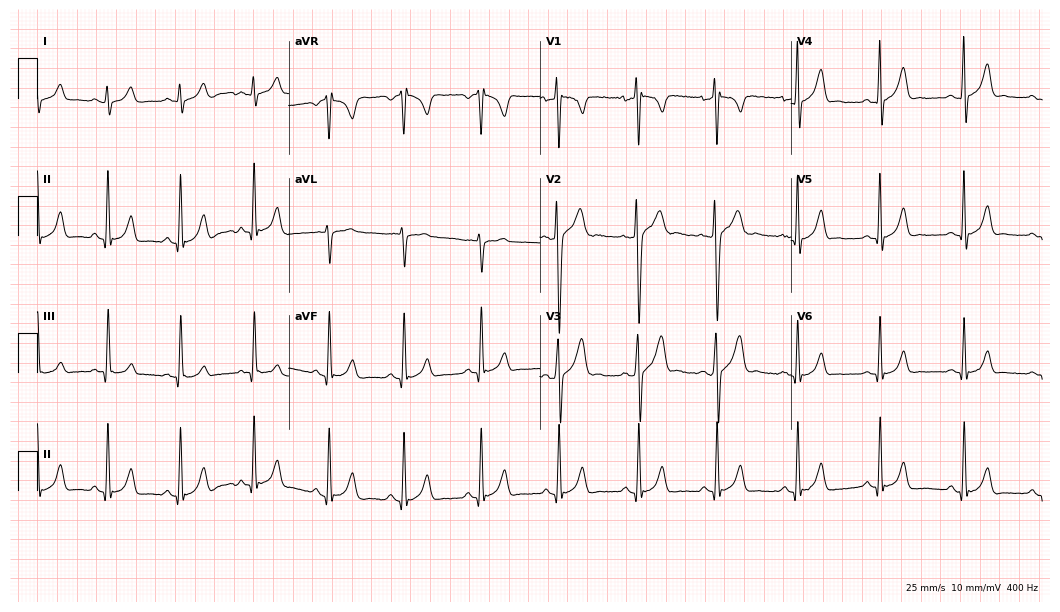
12-lead ECG from a male patient, 23 years old (10.2-second recording at 400 Hz). Recorded interpretation: within normal limits.